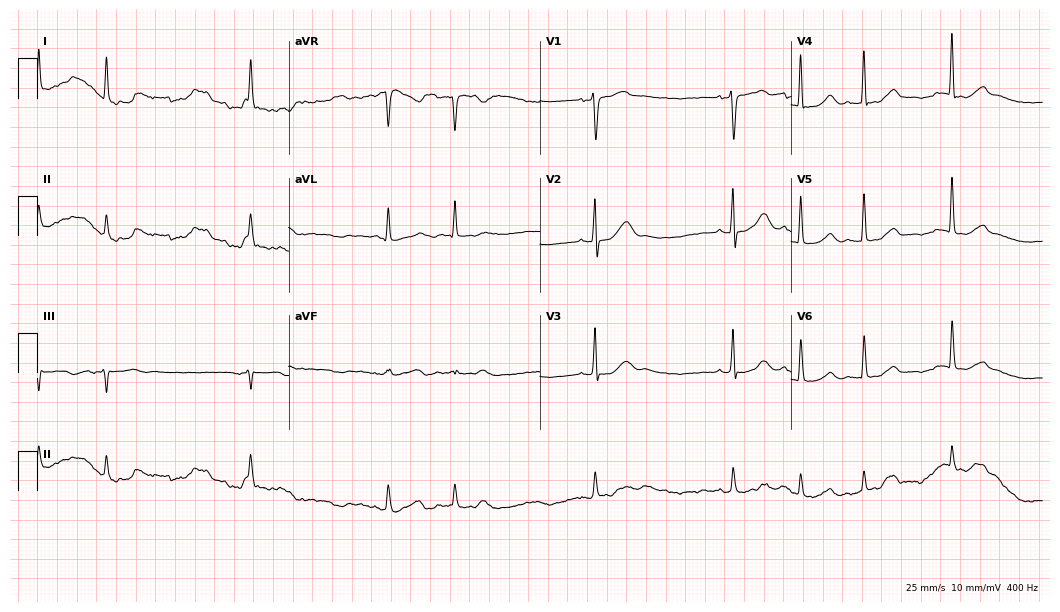
12-lead ECG (10.2-second recording at 400 Hz) from a male, 75 years old. Screened for six findings — first-degree AV block, right bundle branch block, left bundle branch block, sinus bradycardia, atrial fibrillation, sinus tachycardia — none is recorded. Other findings, if any, are not listed.